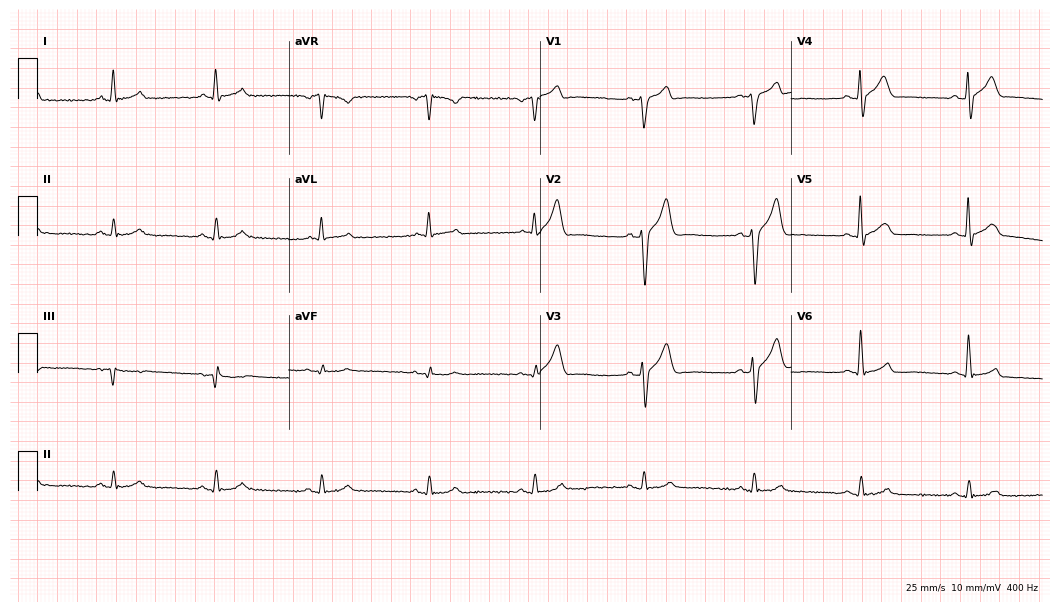
12-lead ECG from a 46-year-old male (10.2-second recording at 400 Hz). Recorded interpretation: within normal limits.